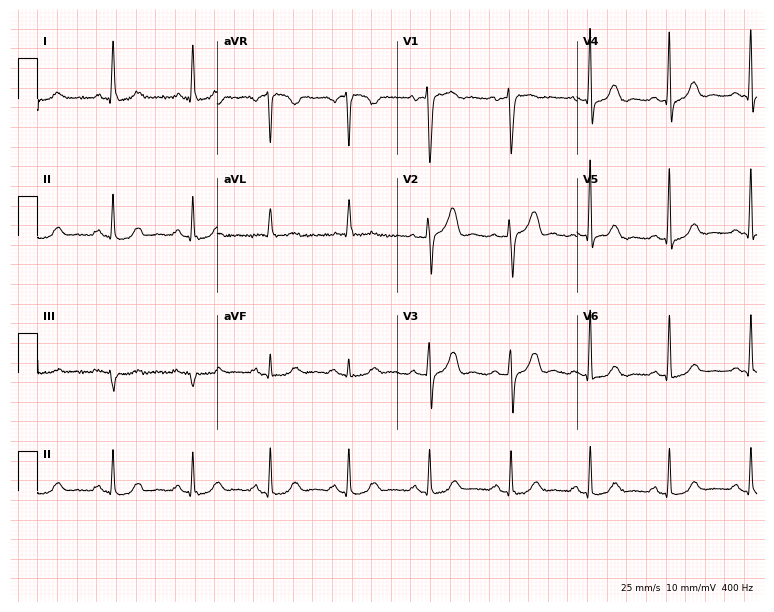
Resting 12-lead electrocardiogram. Patient: a 69-year-old woman. Read as a normal ECG.